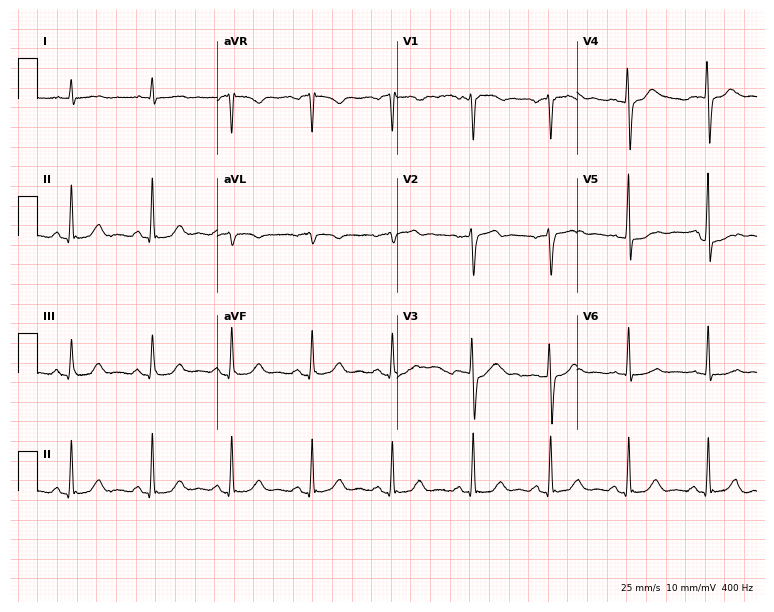
Standard 12-lead ECG recorded from a man, 74 years old (7.3-second recording at 400 Hz). Read as a normal ECG.